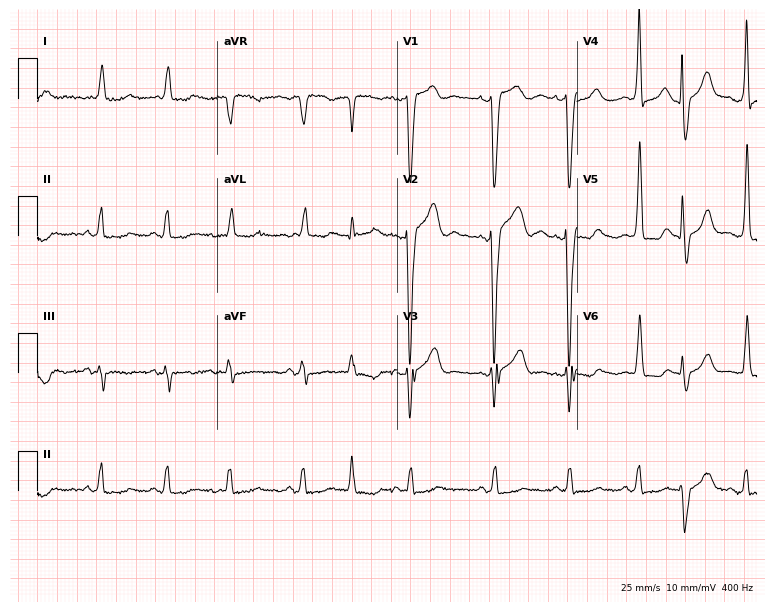
Resting 12-lead electrocardiogram. Patient: a female, 78 years old. None of these six findings is recorded: first-degree AV block, right bundle branch block, left bundle branch block, sinus bradycardia, atrial fibrillation, sinus tachycardia. Other findings, if any, are not listed.